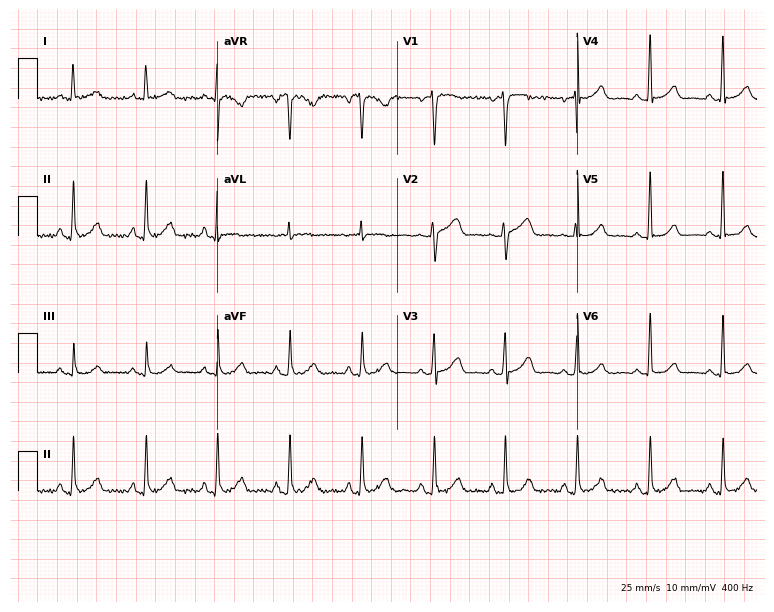
12-lead ECG (7.3-second recording at 400 Hz) from a 61-year-old female. Labelled as a normal ECG.